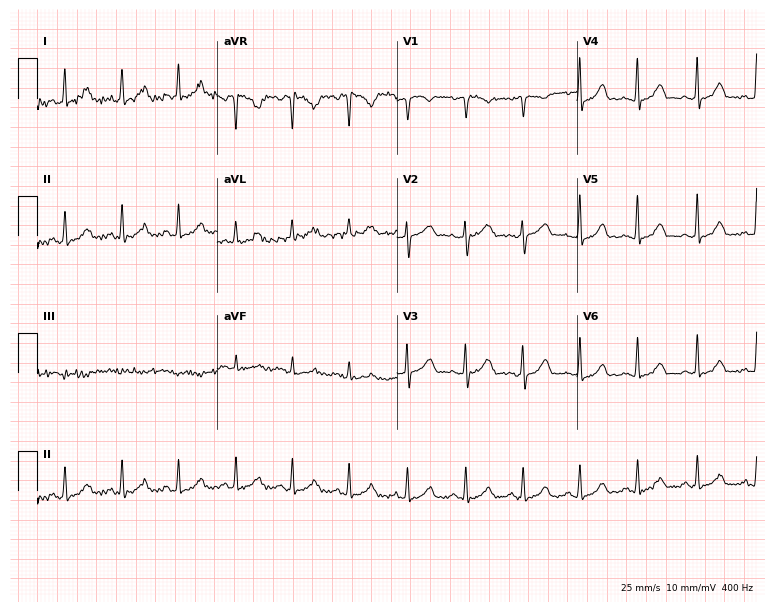
Resting 12-lead electrocardiogram. Patient: a 46-year-old woman. None of these six findings is recorded: first-degree AV block, right bundle branch block, left bundle branch block, sinus bradycardia, atrial fibrillation, sinus tachycardia.